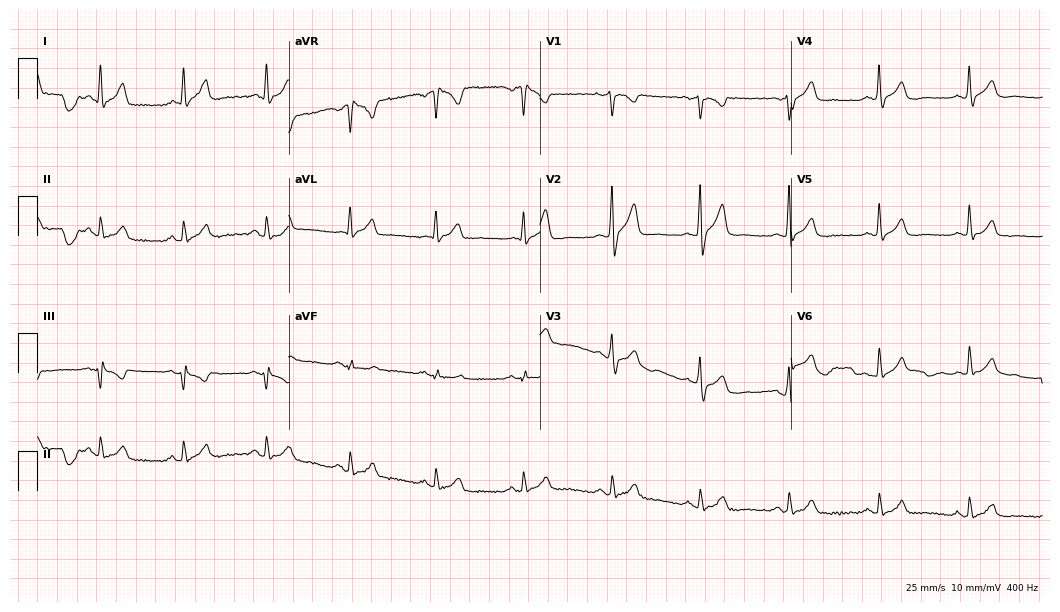
ECG — a male, 42 years old. Screened for six findings — first-degree AV block, right bundle branch block (RBBB), left bundle branch block (LBBB), sinus bradycardia, atrial fibrillation (AF), sinus tachycardia — none is recorded. Only these six findings were labelled.